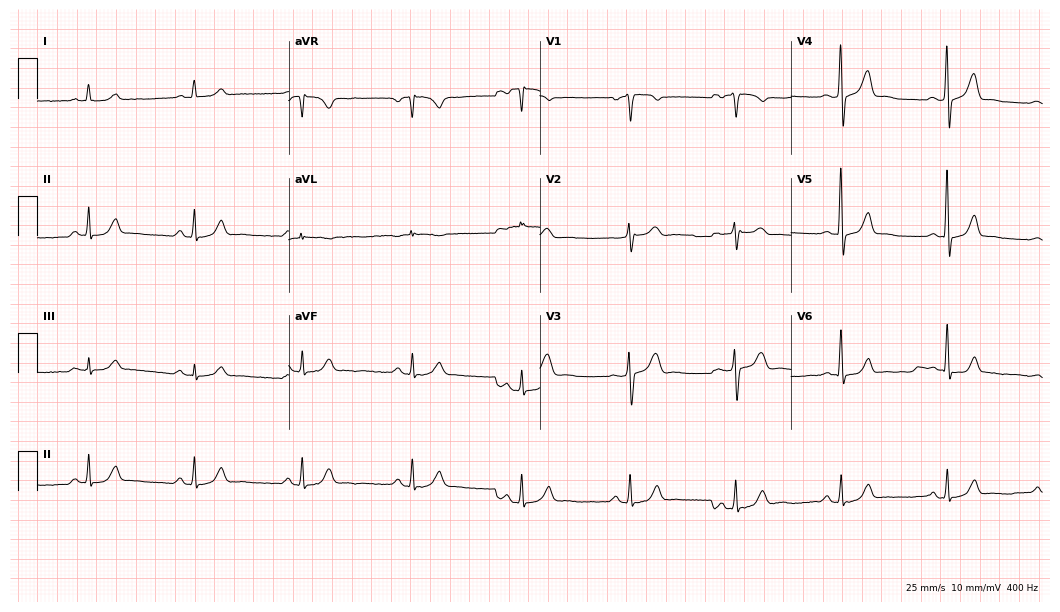
12-lead ECG from a male patient, 55 years old. No first-degree AV block, right bundle branch block, left bundle branch block, sinus bradycardia, atrial fibrillation or sinus tachycardia recorded for this tracing.